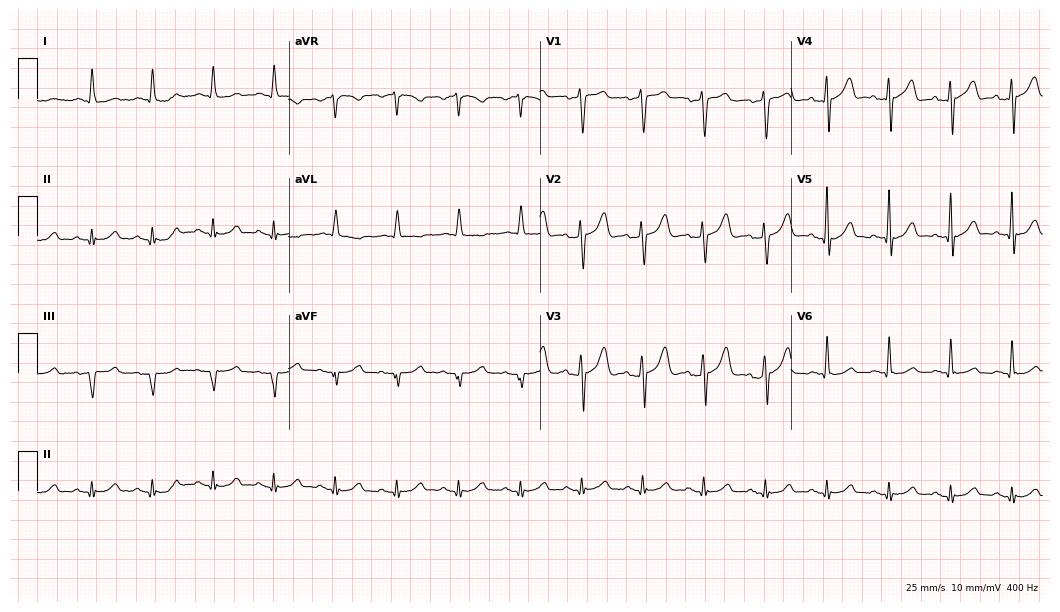
Standard 12-lead ECG recorded from a 70-year-old man (10.2-second recording at 400 Hz). None of these six findings is recorded: first-degree AV block, right bundle branch block, left bundle branch block, sinus bradycardia, atrial fibrillation, sinus tachycardia.